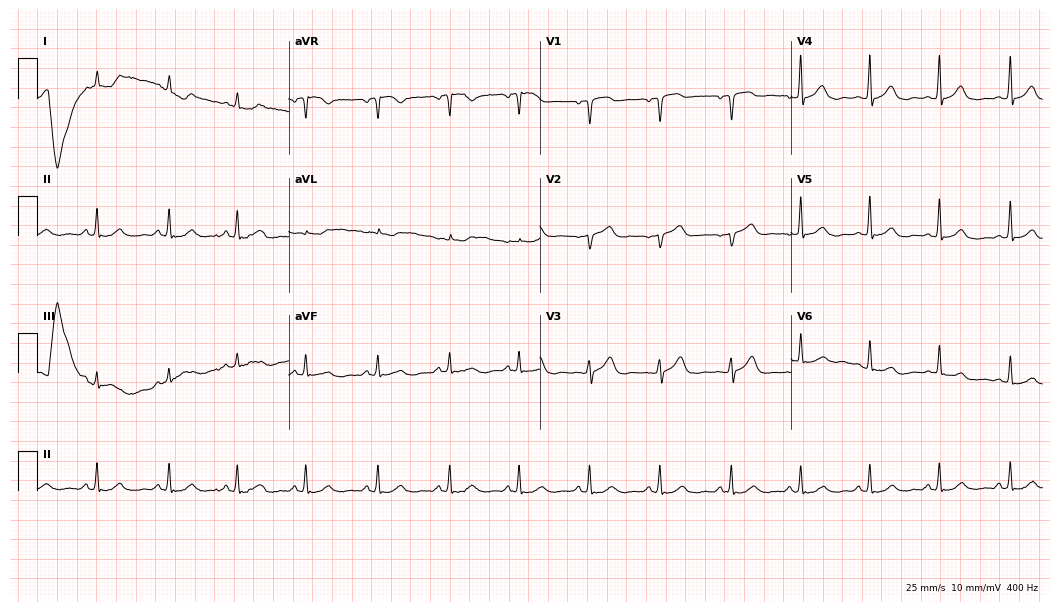
Standard 12-lead ECG recorded from a man, 56 years old. Read as a normal ECG.